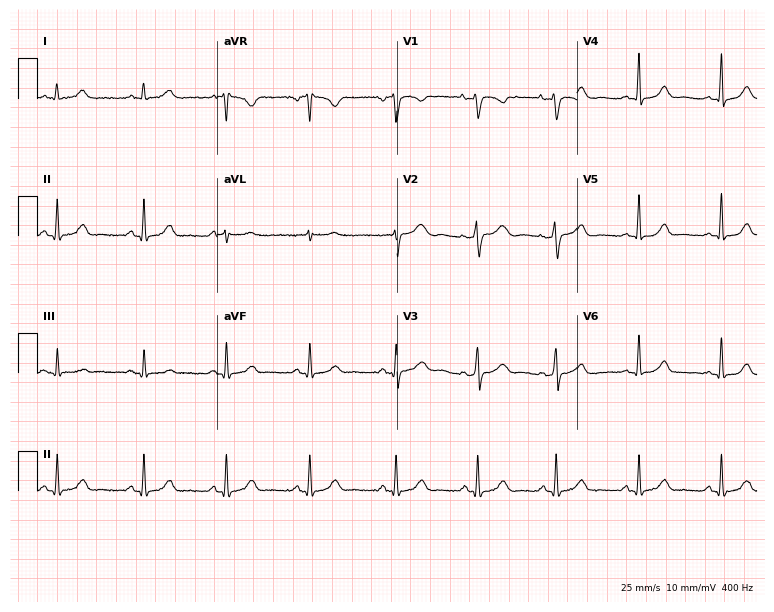
ECG — a female, 31 years old. Labelled as a normal ECG.